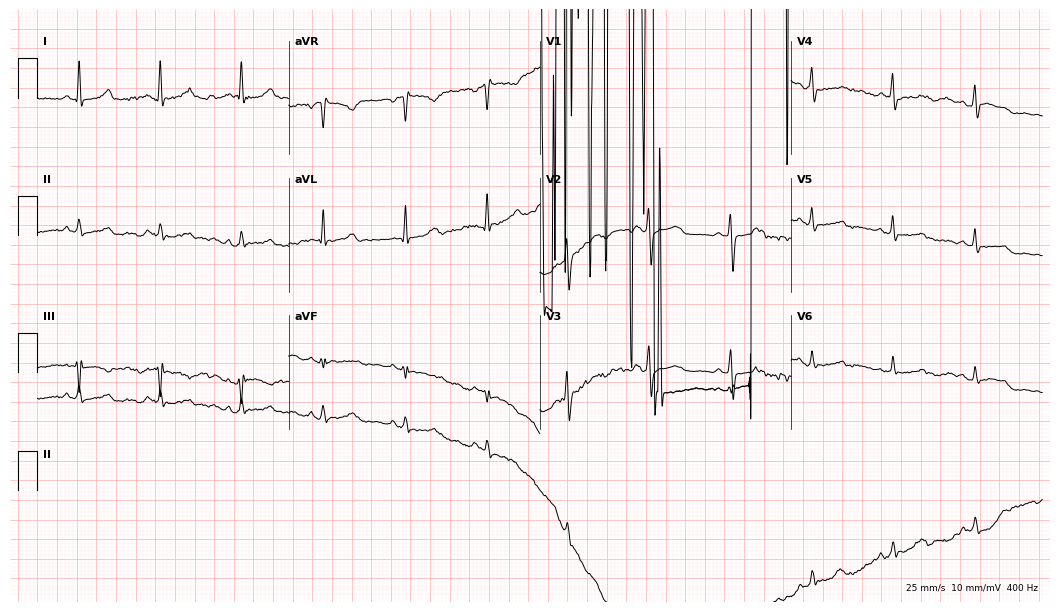
Standard 12-lead ECG recorded from a female, 64 years old (10.2-second recording at 400 Hz). None of these six findings is recorded: first-degree AV block, right bundle branch block, left bundle branch block, sinus bradycardia, atrial fibrillation, sinus tachycardia.